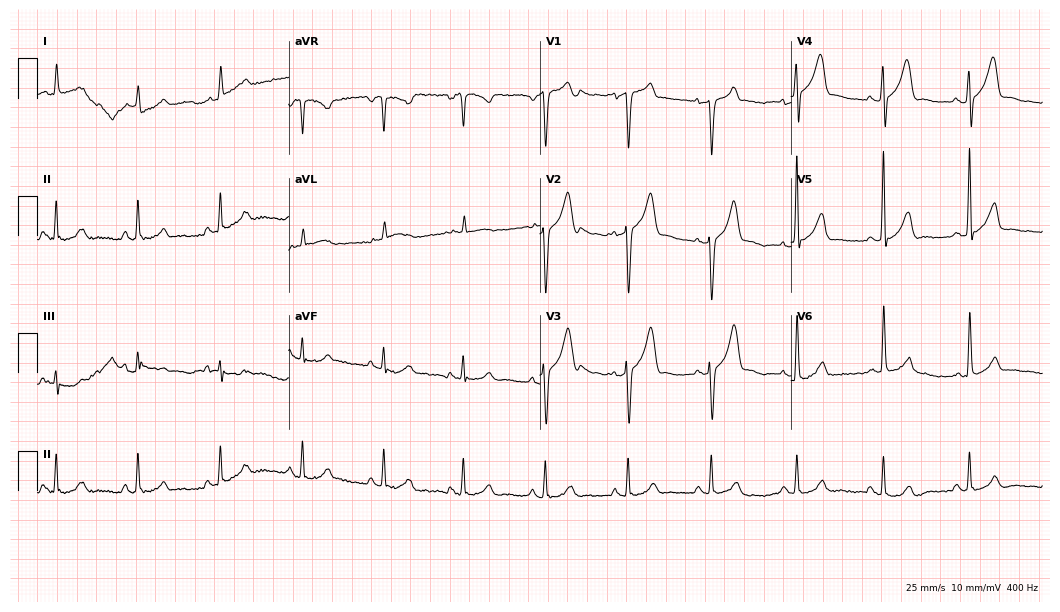
Electrocardiogram (10.2-second recording at 400 Hz), a 66-year-old male. Of the six screened findings (first-degree AV block, right bundle branch block, left bundle branch block, sinus bradycardia, atrial fibrillation, sinus tachycardia), none is recorded.